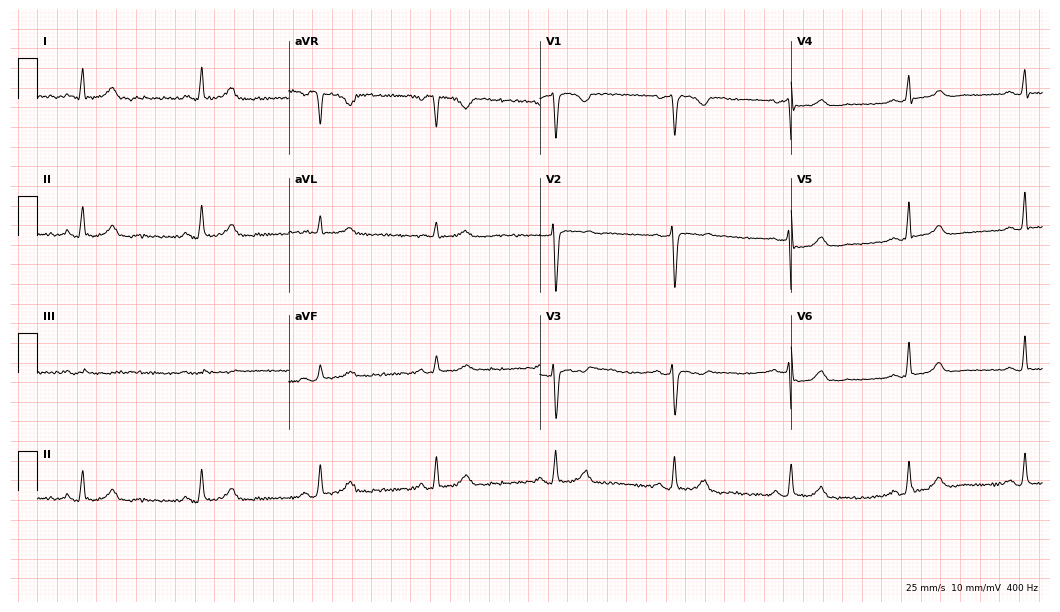
ECG — a 60-year-old female. Findings include sinus bradycardia (a sinus rate of 50 beats per minute or less).